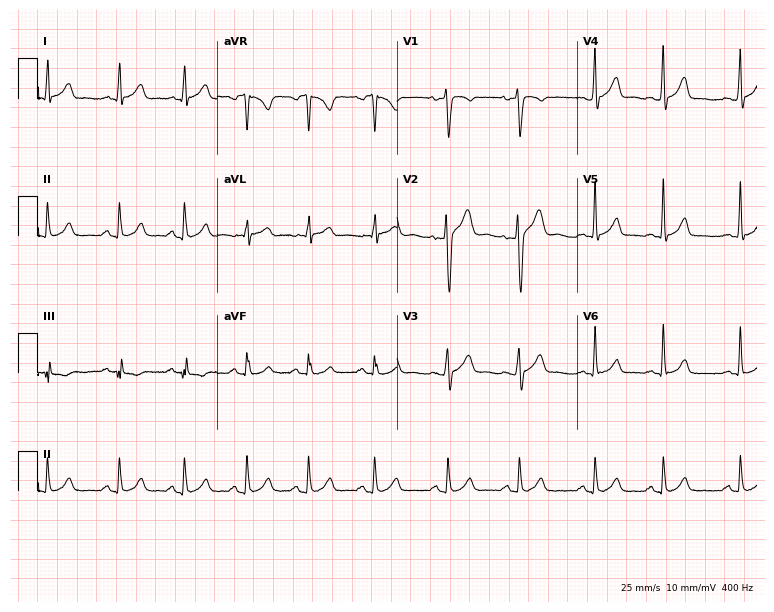
12-lead ECG (7.3-second recording at 400 Hz) from an 18-year-old male. Labelled as a normal ECG.